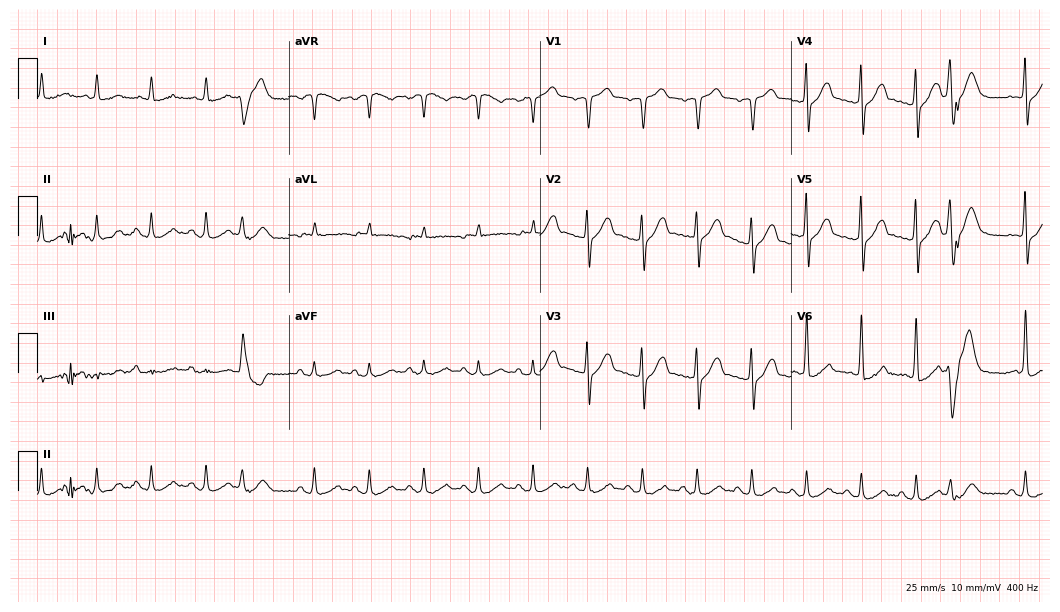
12-lead ECG from a male patient, 75 years old. Findings include sinus tachycardia (a sinus rate of 100 beats per minute or more).